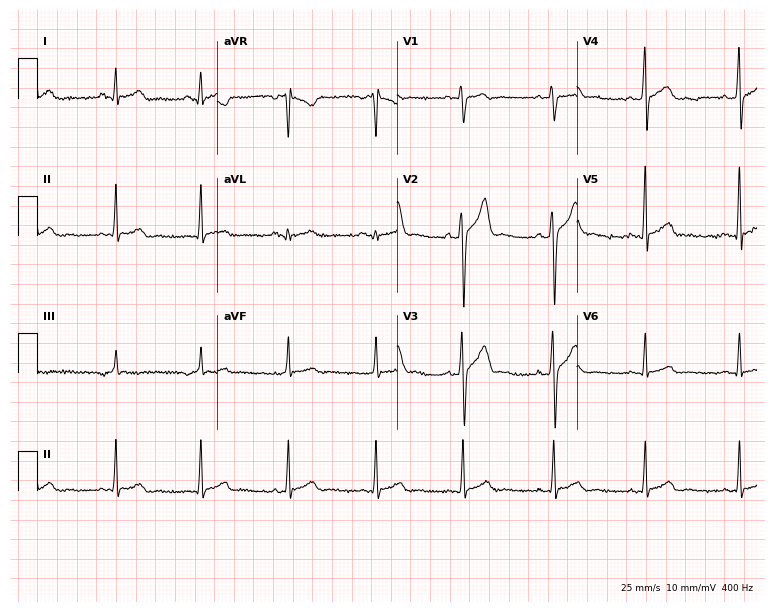
ECG (7.3-second recording at 400 Hz) — a 28-year-old male. Screened for six findings — first-degree AV block, right bundle branch block, left bundle branch block, sinus bradycardia, atrial fibrillation, sinus tachycardia — none is recorded.